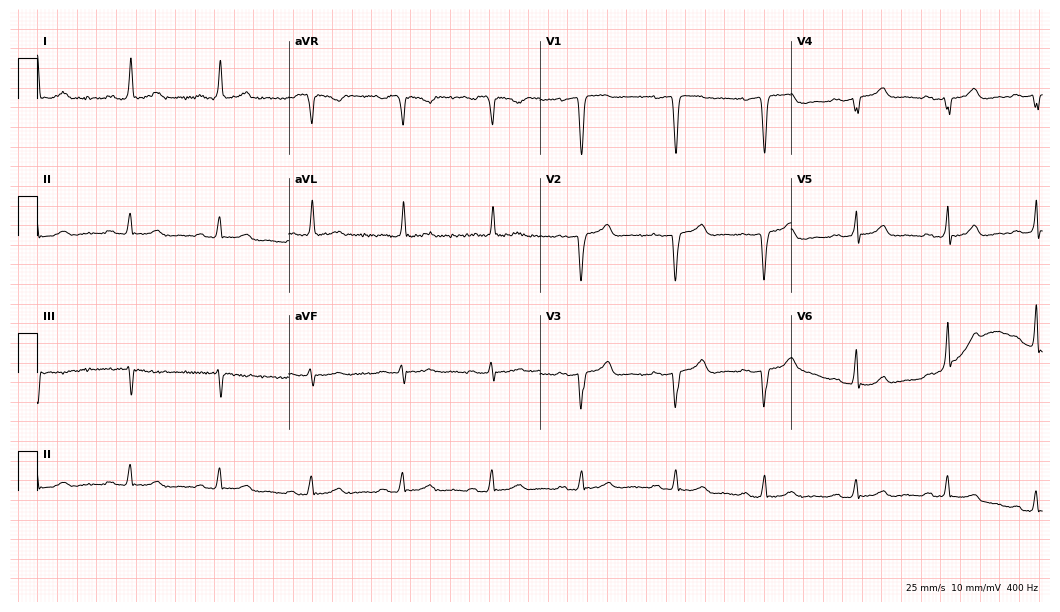
12-lead ECG from an 80-year-old woman. No first-degree AV block, right bundle branch block, left bundle branch block, sinus bradycardia, atrial fibrillation or sinus tachycardia recorded for this tracing.